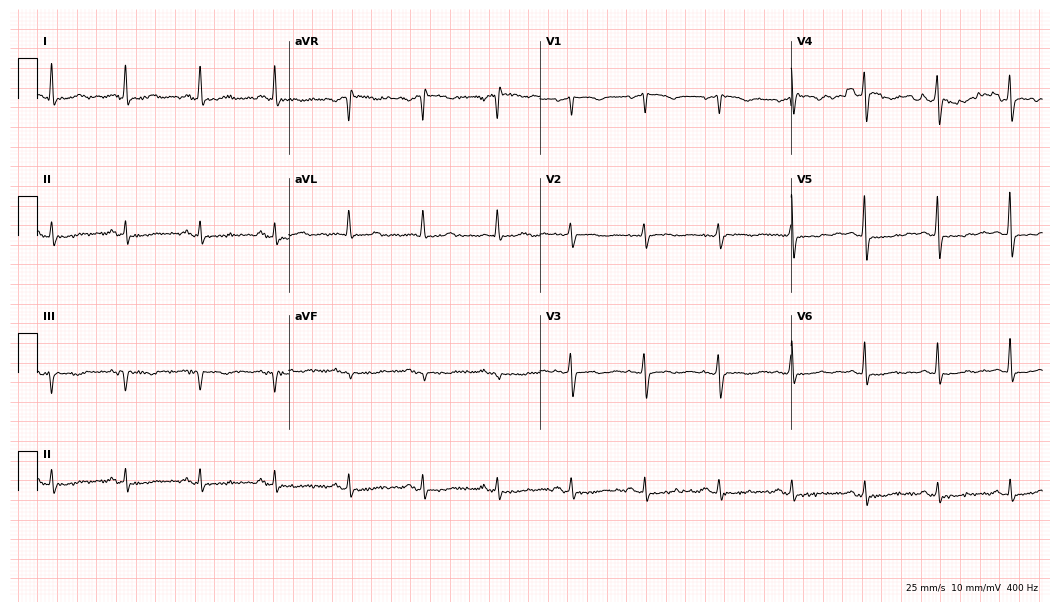
Standard 12-lead ECG recorded from a woman, 62 years old (10.2-second recording at 400 Hz). None of these six findings is recorded: first-degree AV block, right bundle branch block (RBBB), left bundle branch block (LBBB), sinus bradycardia, atrial fibrillation (AF), sinus tachycardia.